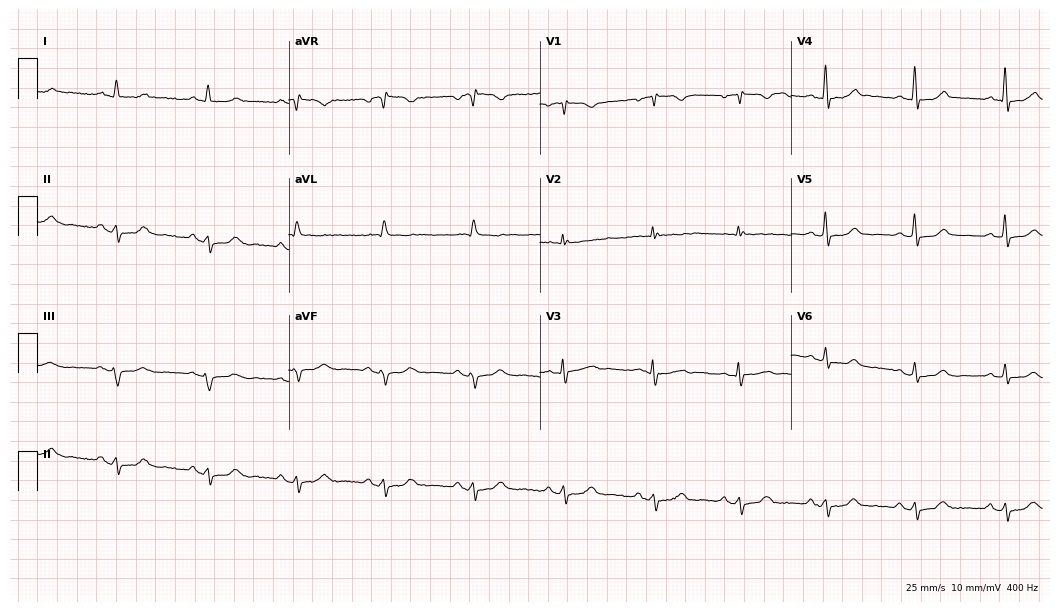
12-lead ECG from a 63-year-old woman. No first-degree AV block, right bundle branch block, left bundle branch block, sinus bradycardia, atrial fibrillation or sinus tachycardia recorded for this tracing.